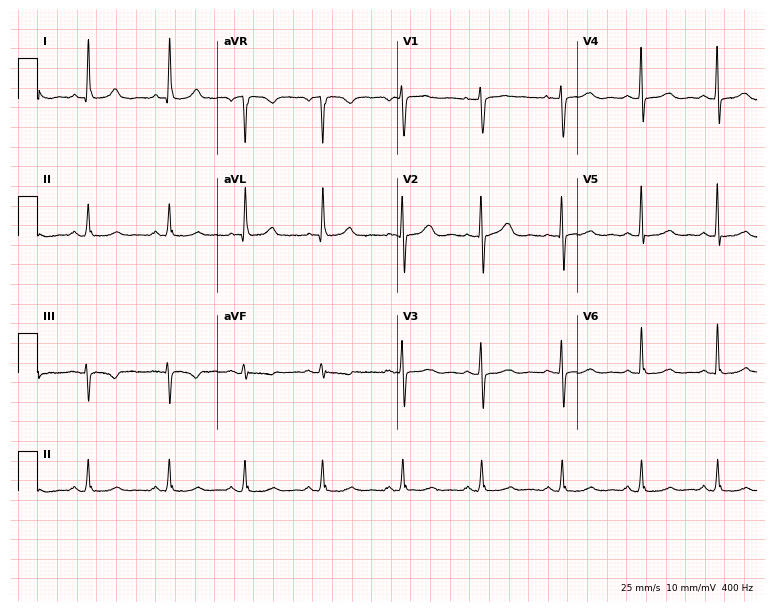
12-lead ECG from a 75-year-old female. No first-degree AV block, right bundle branch block, left bundle branch block, sinus bradycardia, atrial fibrillation or sinus tachycardia recorded for this tracing.